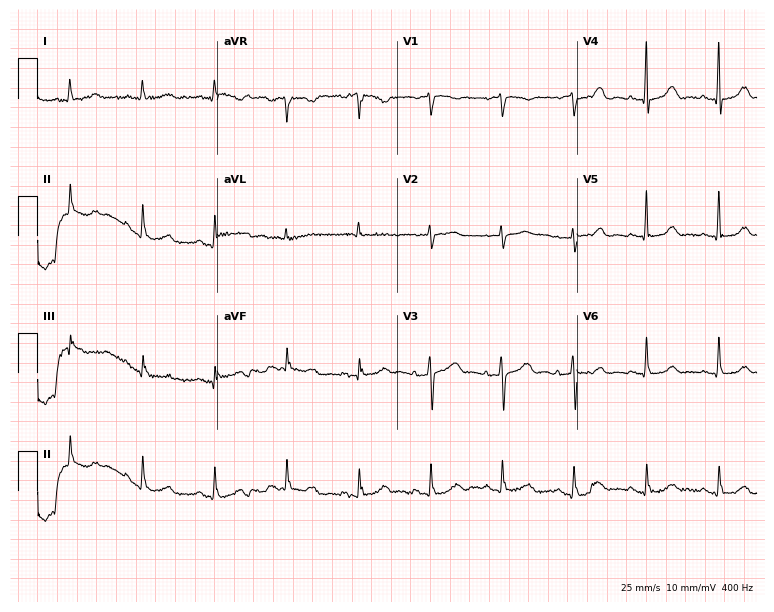
ECG (7.3-second recording at 400 Hz) — a woman, 72 years old. Screened for six findings — first-degree AV block, right bundle branch block, left bundle branch block, sinus bradycardia, atrial fibrillation, sinus tachycardia — none is recorded. Only these six findings were labelled.